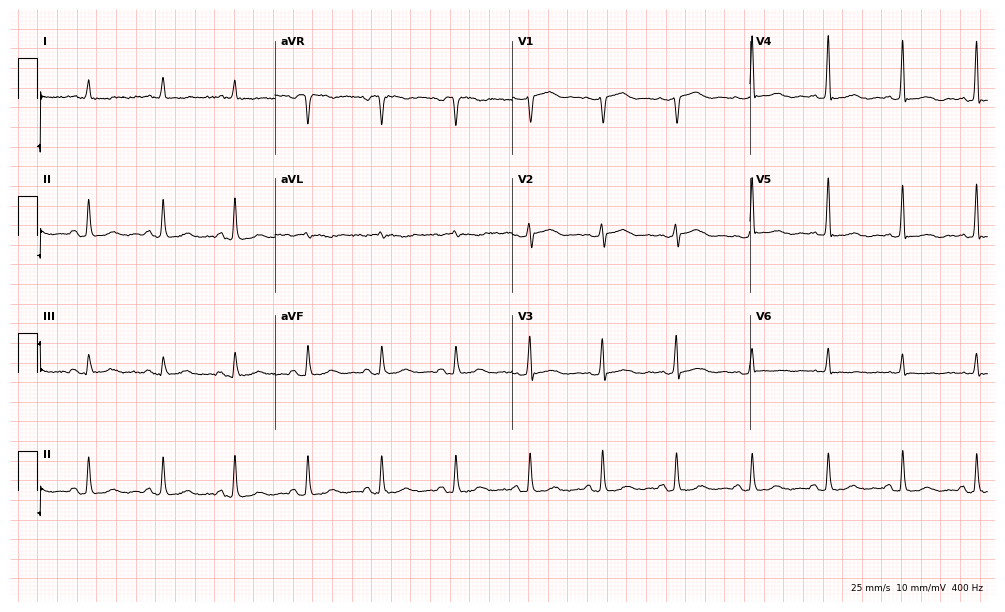
Resting 12-lead electrocardiogram (9.7-second recording at 400 Hz). Patient: a woman, 78 years old. None of these six findings is recorded: first-degree AV block, right bundle branch block, left bundle branch block, sinus bradycardia, atrial fibrillation, sinus tachycardia. Only these six findings were labelled.